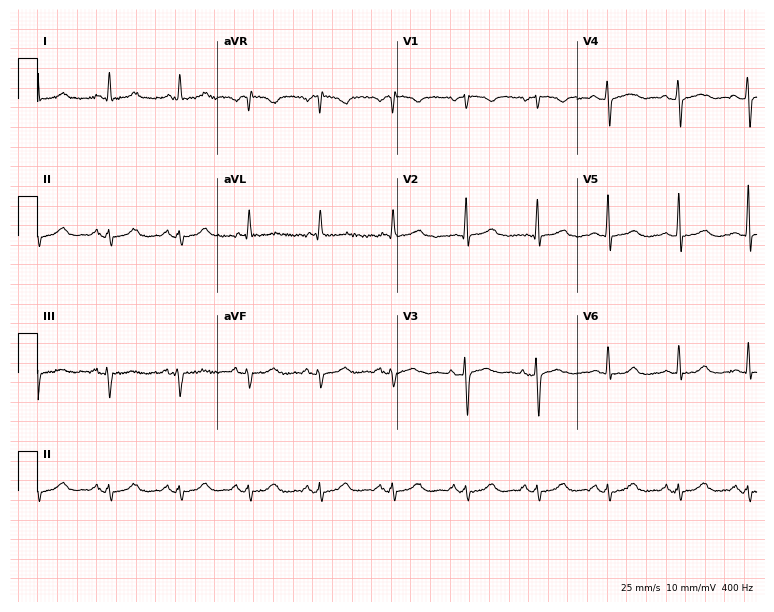
Standard 12-lead ECG recorded from a female patient, 65 years old. Read as a normal ECG.